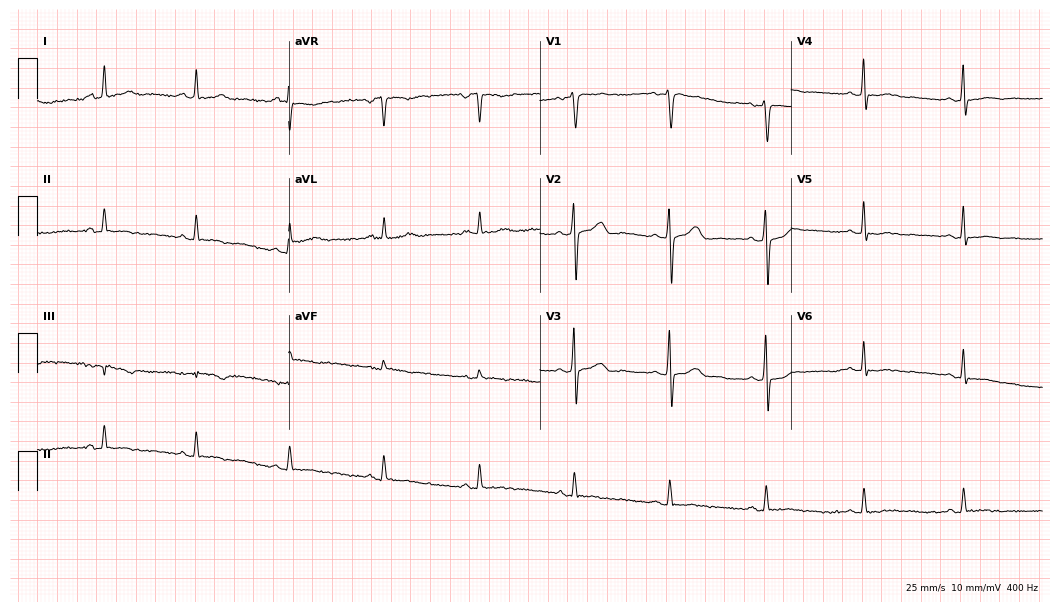
Resting 12-lead electrocardiogram (10.2-second recording at 400 Hz). Patient: a 54-year-old woman. None of these six findings is recorded: first-degree AV block, right bundle branch block, left bundle branch block, sinus bradycardia, atrial fibrillation, sinus tachycardia.